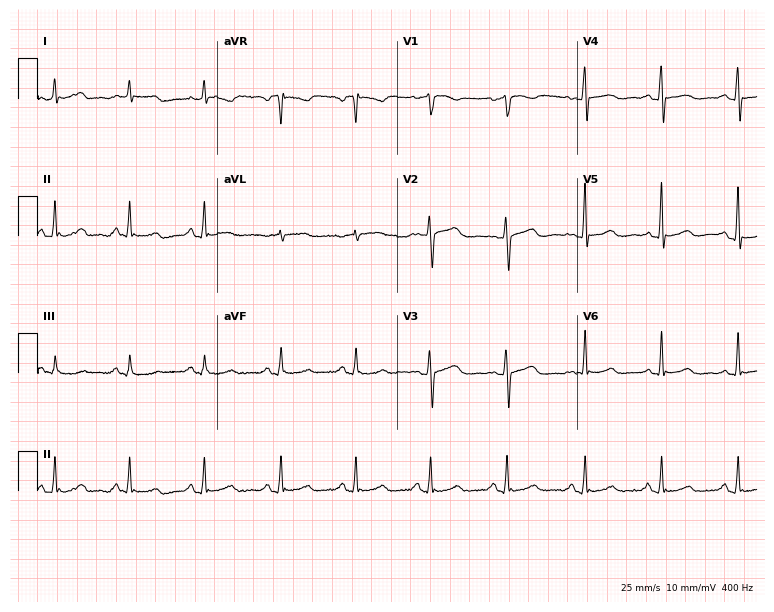
ECG — a female patient, 54 years old. Labelled as a normal ECG.